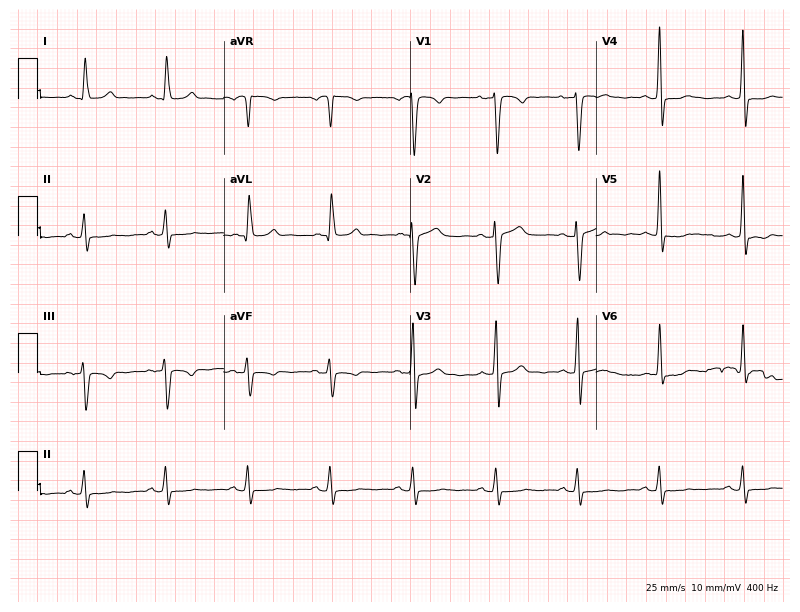
Standard 12-lead ECG recorded from a female patient, 47 years old. None of these six findings is recorded: first-degree AV block, right bundle branch block (RBBB), left bundle branch block (LBBB), sinus bradycardia, atrial fibrillation (AF), sinus tachycardia.